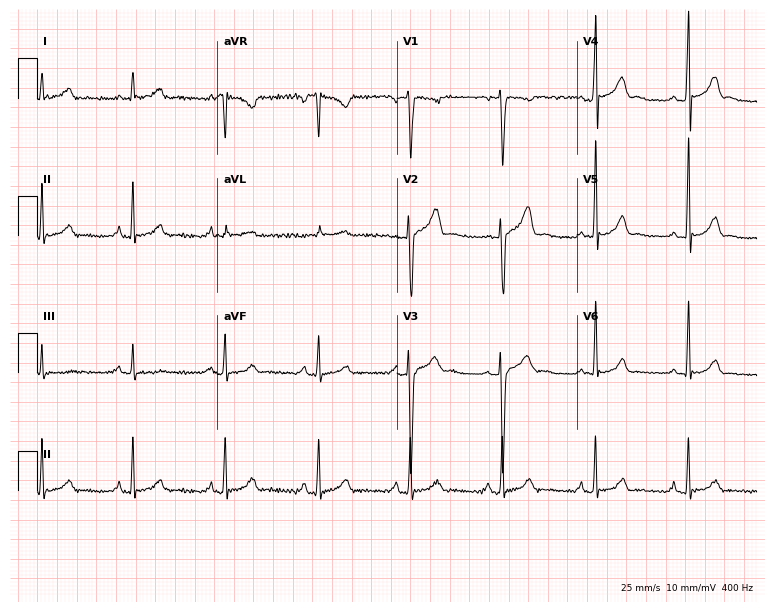
Standard 12-lead ECG recorded from a male, 18 years old (7.3-second recording at 400 Hz). None of these six findings is recorded: first-degree AV block, right bundle branch block (RBBB), left bundle branch block (LBBB), sinus bradycardia, atrial fibrillation (AF), sinus tachycardia. Other findings, if any, are not listed.